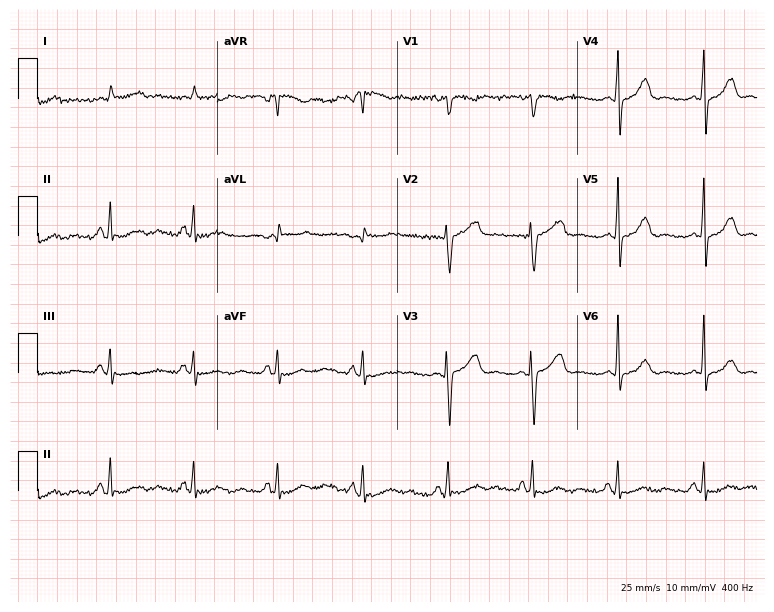
ECG (7.3-second recording at 400 Hz) — a 56-year-old female. Screened for six findings — first-degree AV block, right bundle branch block, left bundle branch block, sinus bradycardia, atrial fibrillation, sinus tachycardia — none is recorded.